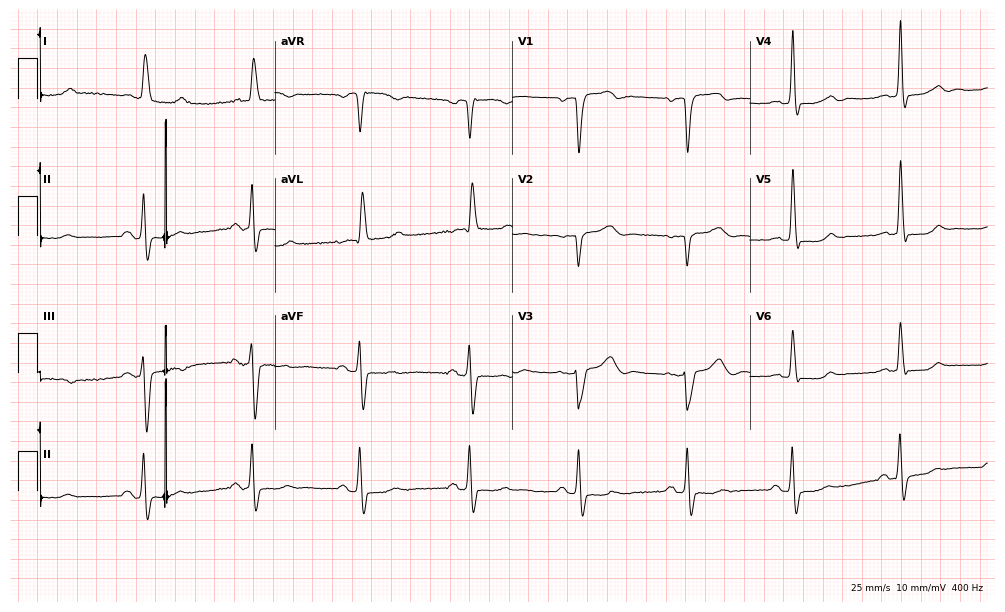
Standard 12-lead ECG recorded from a female, 82 years old (9.7-second recording at 400 Hz). The tracing shows left bundle branch block.